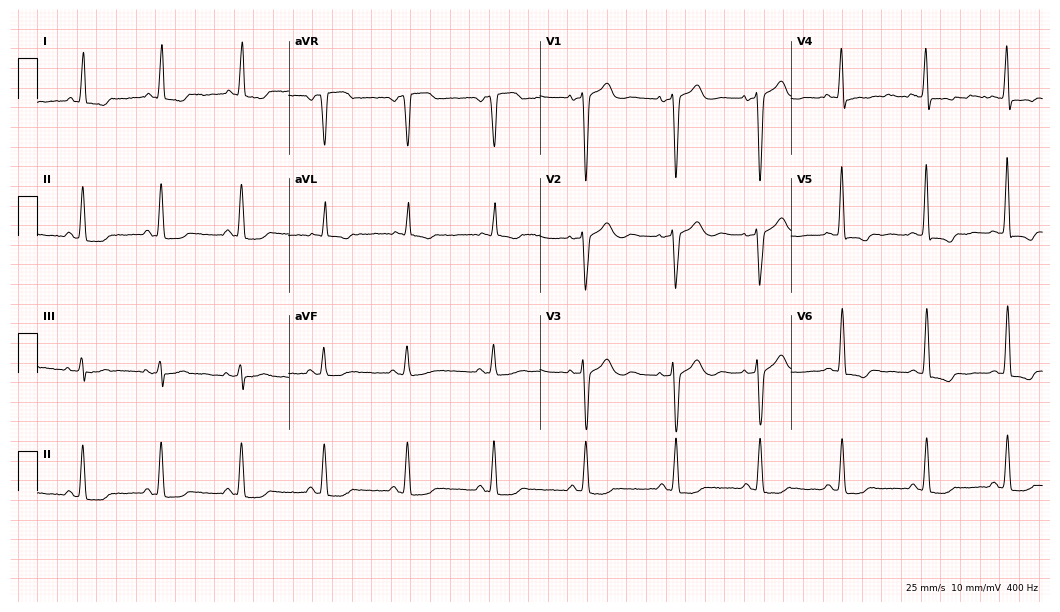
12-lead ECG (10.2-second recording at 400 Hz) from a 58-year-old woman. Screened for six findings — first-degree AV block, right bundle branch block, left bundle branch block, sinus bradycardia, atrial fibrillation, sinus tachycardia — none is recorded. Findings outside these six are not listed.